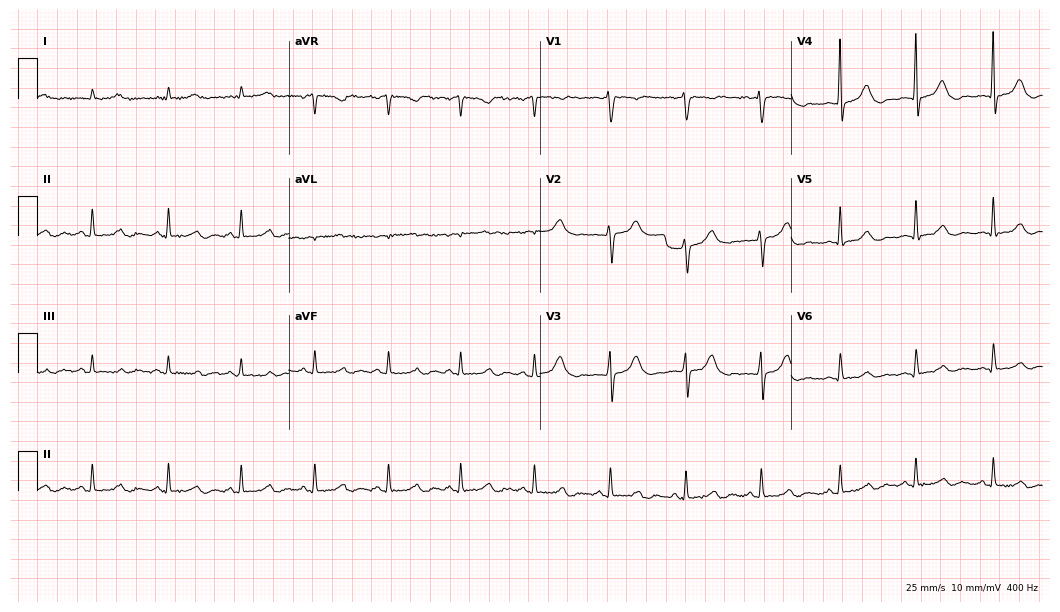
Resting 12-lead electrocardiogram. Patient: a 38-year-old female. Read as a normal ECG.